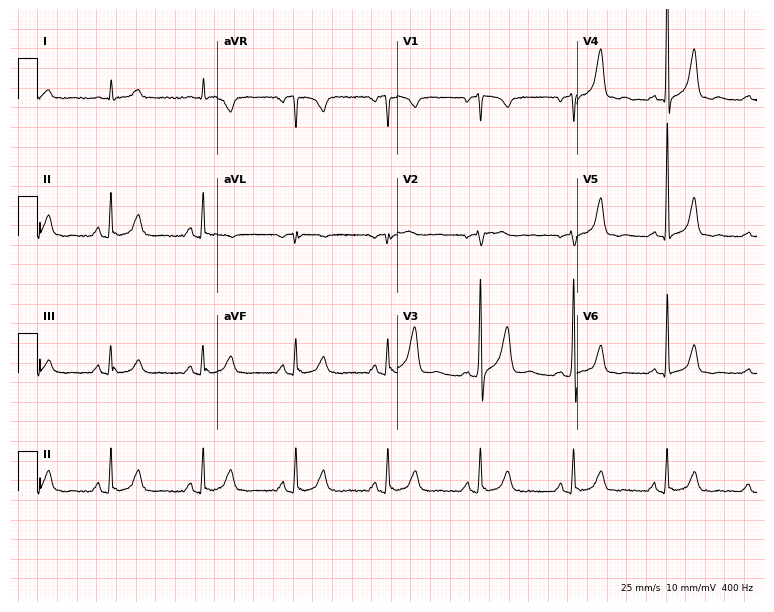
Electrocardiogram (7.3-second recording at 400 Hz), a 76-year-old male patient. Of the six screened findings (first-degree AV block, right bundle branch block, left bundle branch block, sinus bradycardia, atrial fibrillation, sinus tachycardia), none is recorded.